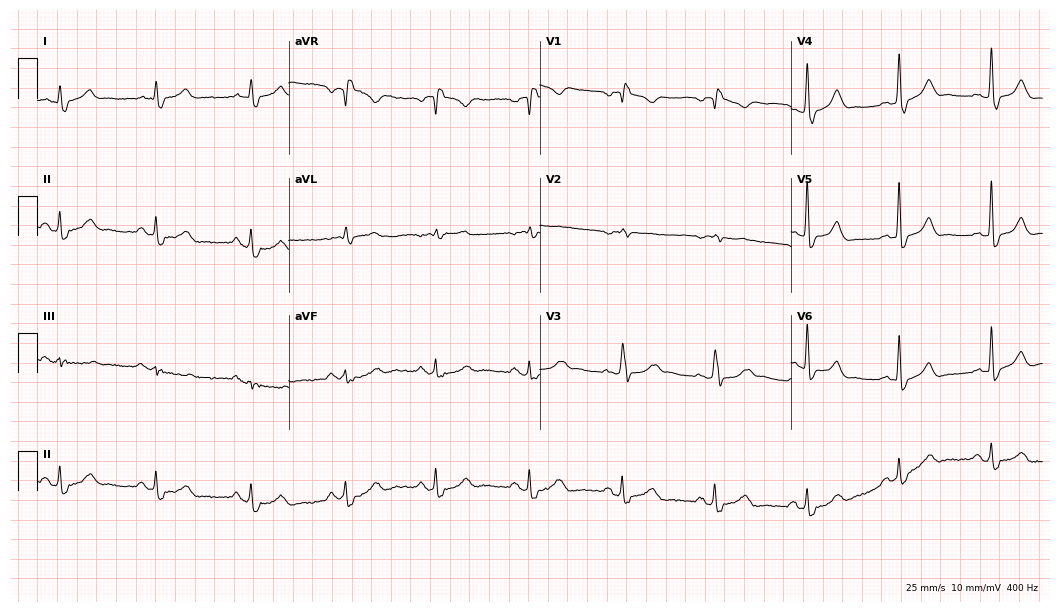
12-lead ECG from a male, 80 years old (10.2-second recording at 400 Hz). No first-degree AV block, right bundle branch block, left bundle branch block, sinus bradycardia, atrial fibrillation or sinus tachycardia recorded for this tracing.